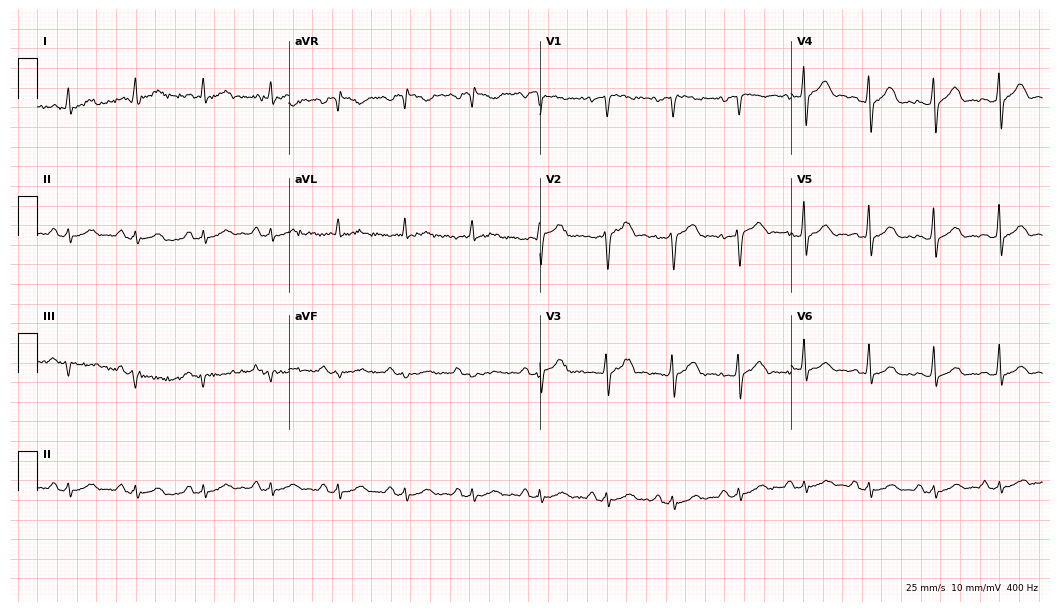
12-lead ECG from a 60-year-old male patient. Screened for six findings — first-degree AV block, right bundle branch block, left bundle branch block, sinus bradycardia, atrial fibrillation, sinus tachycardia — none is recorded.